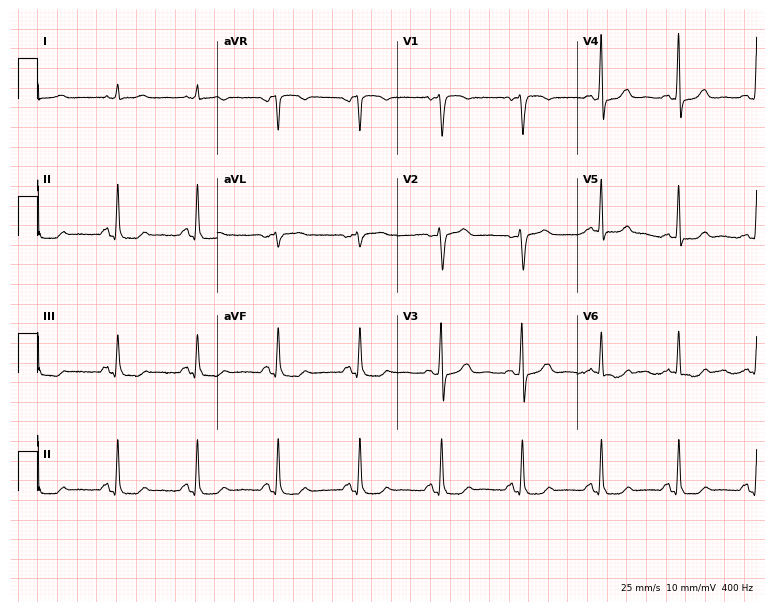
12-lead ECG from a female patient, 48 years old. Screened for six findings — first-degree AV block, right bundle branch block, left bundle branch block, sinus bradycardia, atrial fibrillation, sinus tachycardia — none is recorded.